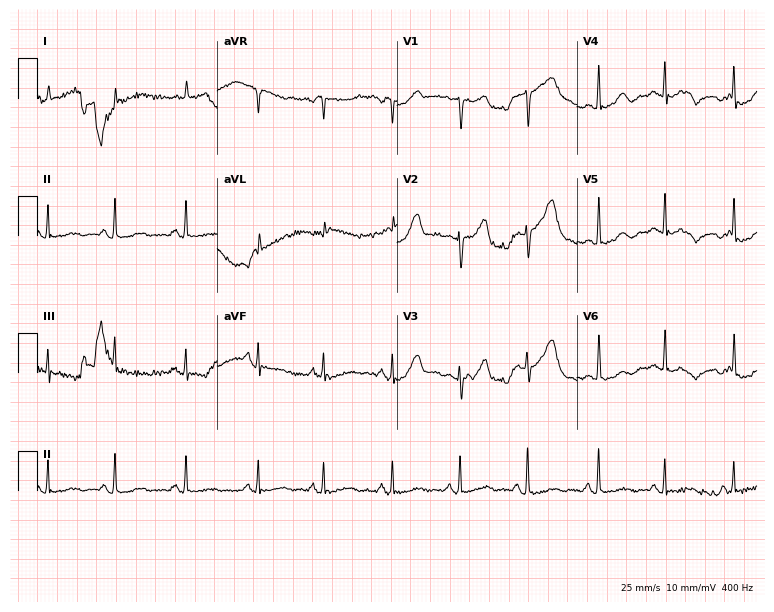
12-lead ECG from a woman, 82 years old. No first-degree AV block, right bundle branch block, left bundle branch block, sinus bradycardia, atrial fibrillation or sinus tachycardia recorded for this tracing.